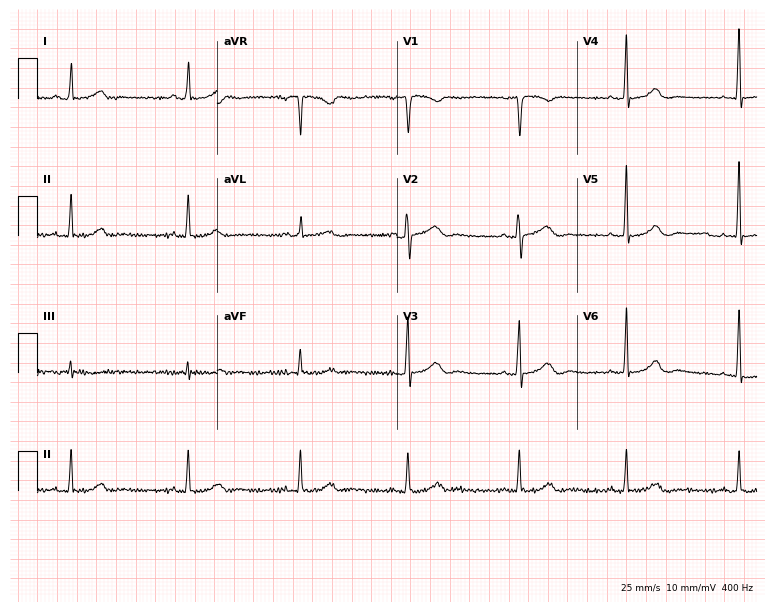
Resting 12-lead electrocardiogram (7.3-second recording at 400 Hz). Patient: a 55-year-old female. Read as a normal ECG.